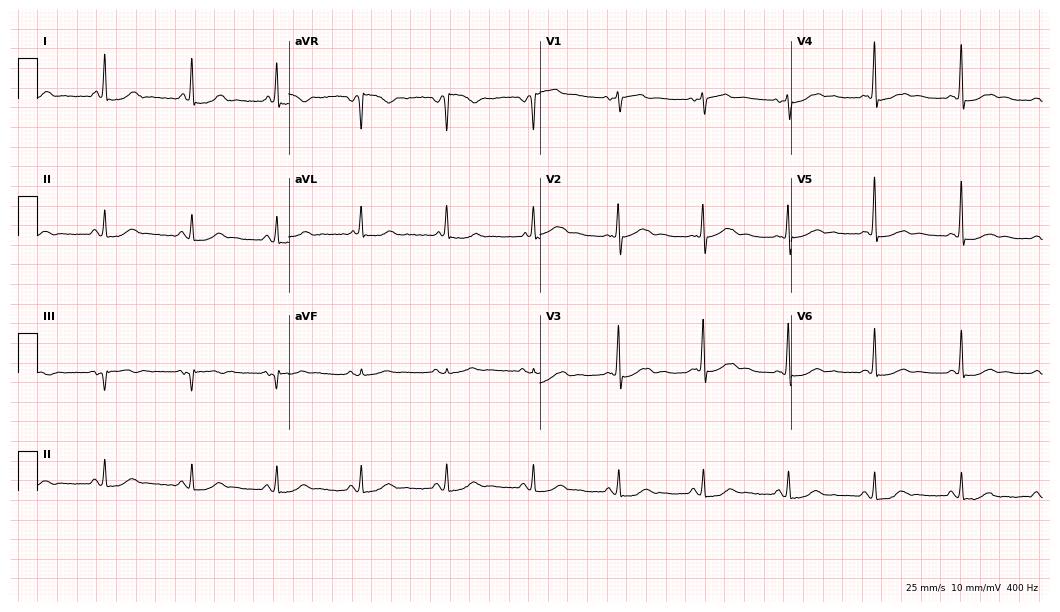
12-lead ECG (10.2-second recording at 400 Hz) from a female patient, 62 years old. Labelled as a normal ECG.